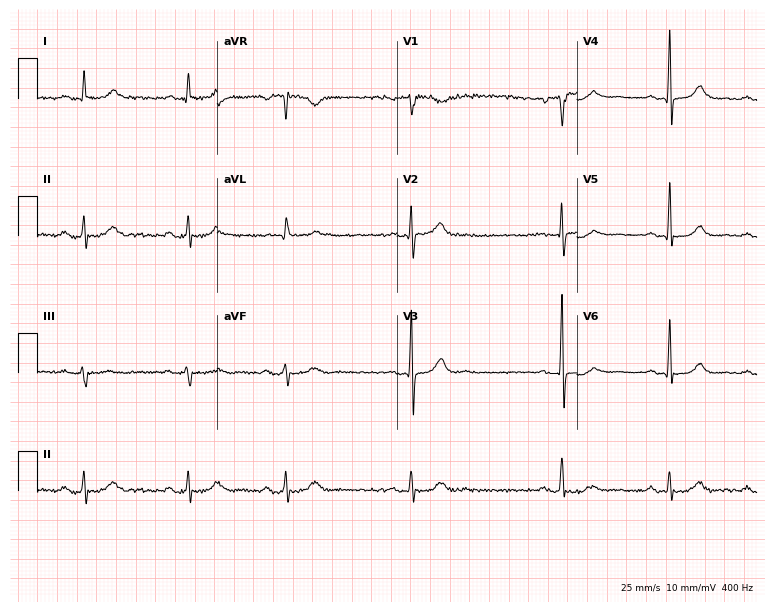
ECG (7.3-second recording at 400 Hz) — a 38-year-old man. Screened for six findings — first-degree AV block, right bundle branch block, left bundle branch block, sinus bradycardia, atrial fibrillation, sinus tachycardia — none is recorded.